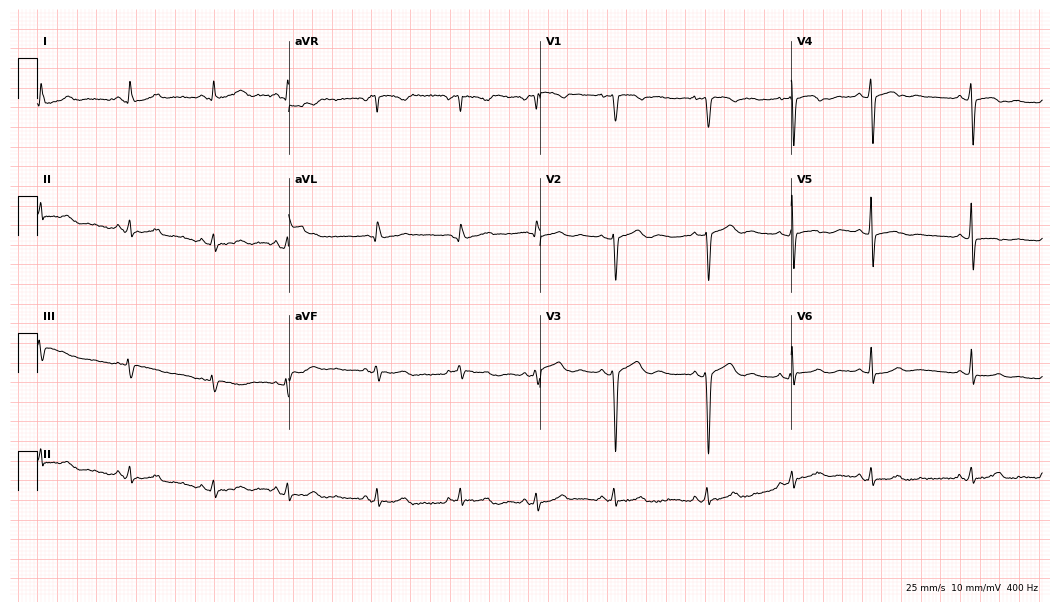
Standard 12-lead ECG recorded from a 22-year-old woman. Read as a normal ECG.